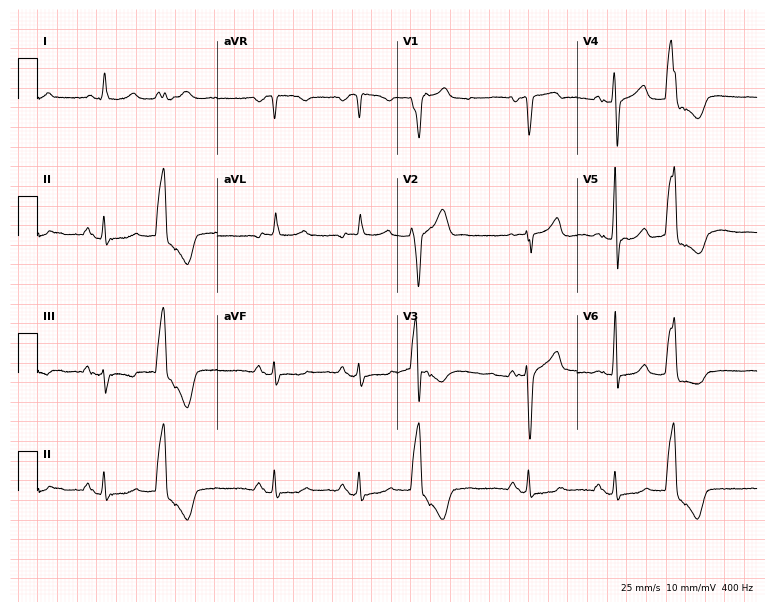
Electrocardiogram, a 66-year-old man. Overall reading on record: normal ECG.